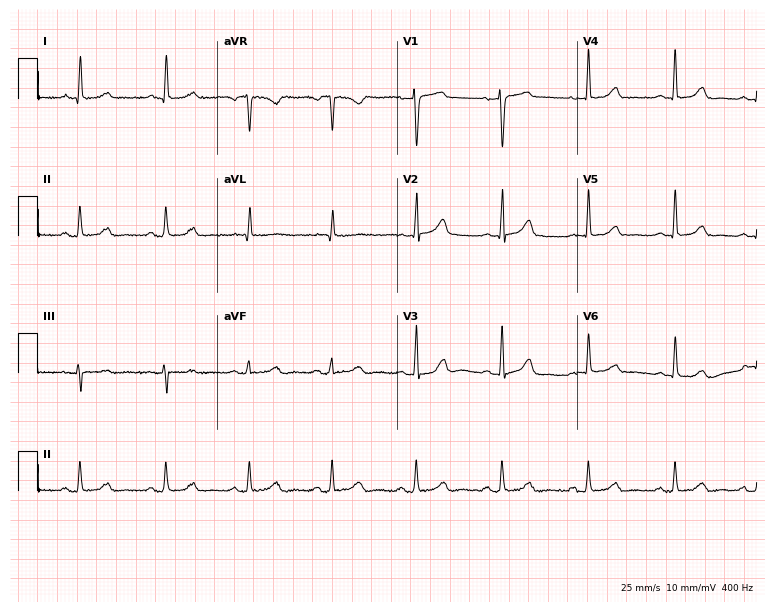
12-lead ECG (7.3-second recording at 400 Hz) from a female patient, 64 years old. Labelled as a normal ECG.